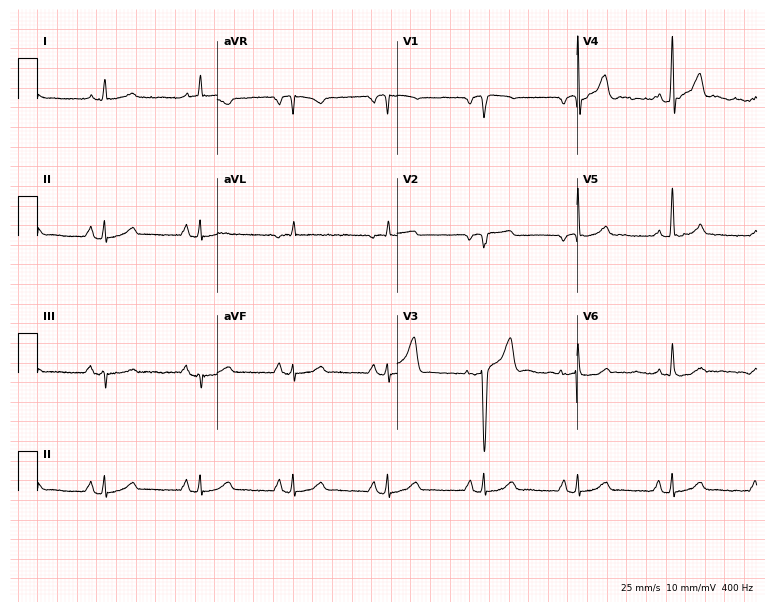
12-lead ECG from a 75-year-old male patient (7.3-second recording at 400 Hz). No first-degree AV block, right bundle branch block (RBBB), left bundle branch block (LBBB), sinus bradycardia, atrial fibrillation (AF) or sinus tachycardia recorded for this tracing.